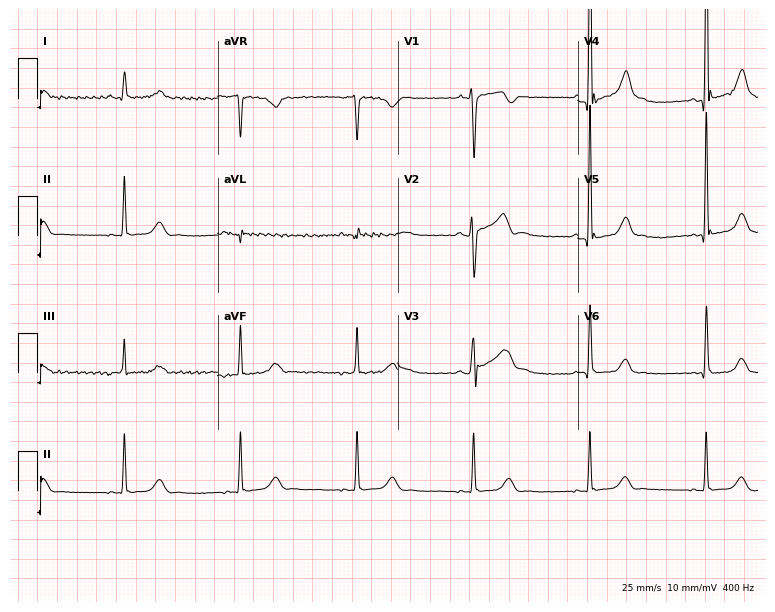
Standard 12-lead ECG recorded from a male patient, 42 years old (7.3-second recording at 400 Hz). None of these six findings is recorded: first-degree AV block, right bundle branch block, left bundle branch block, sinus bradycardia, atrial fibrillation, sinus tachycardia. Other findings, if any, are not listed.